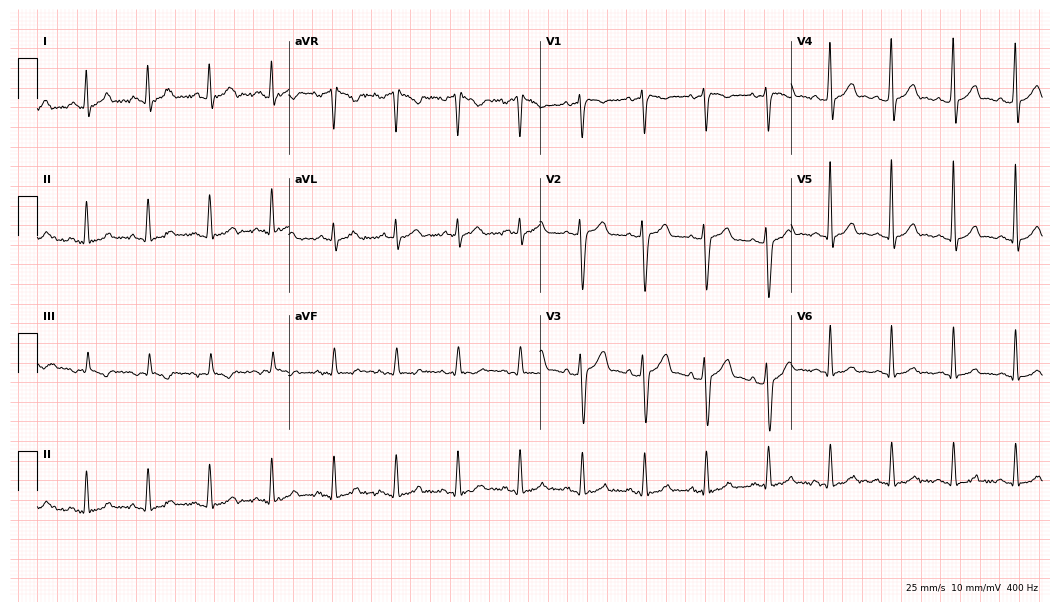
Standard 12-lead ECG recorded from a 43-year-old male patient (10.2-second recording at 400 Hz). Read as a normal ECG.